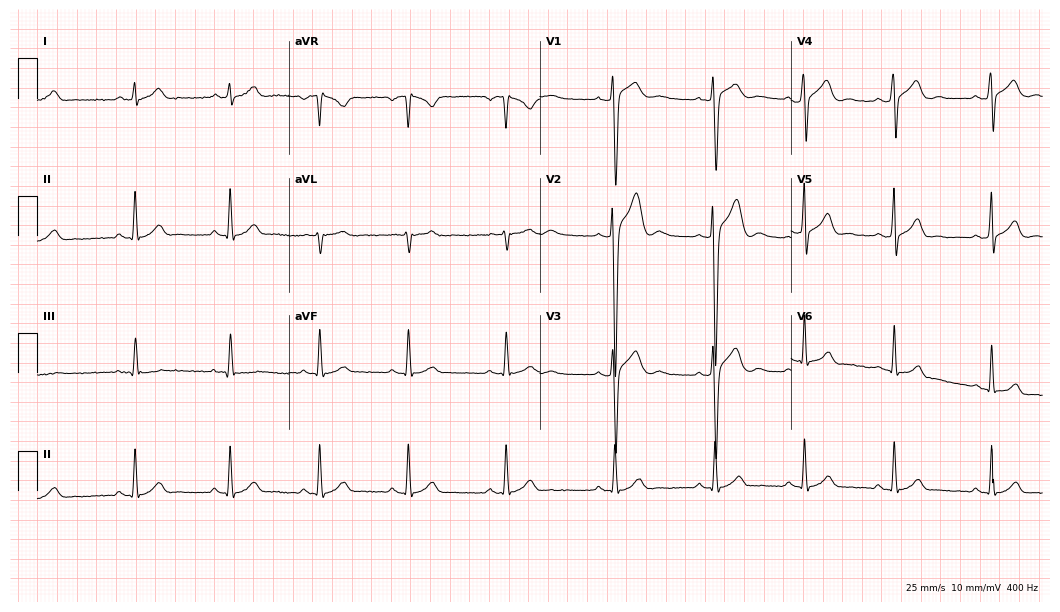
ECG — a 20-year-old man. Labelled as a normal ECG.